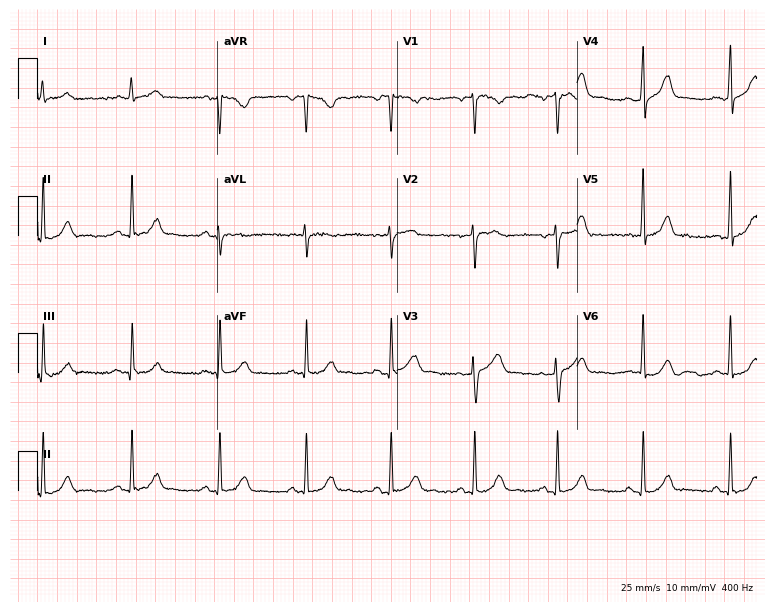
Electrocardiogram, a woman, 46 years old. Overall reading on record: normal ECG.